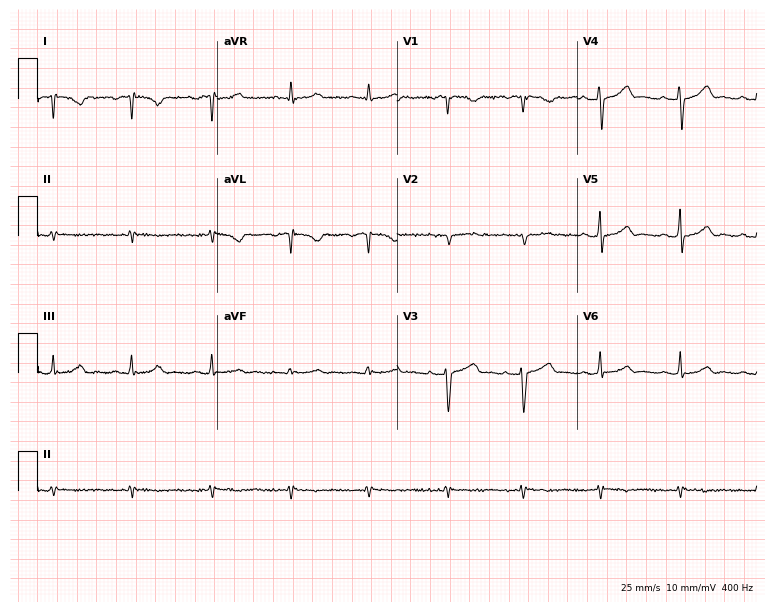
12-lead ECG from a 47-year-old female (7.3-second recording at 400 Hz). No first-degree AV block, right bundle branch block (RBBB), left bundle branch block (LBBB), sinus bradycardia, atrial fibrillation (AF) or sinus tachycardia recorded for this tracing. Findings outside these six are not listed.